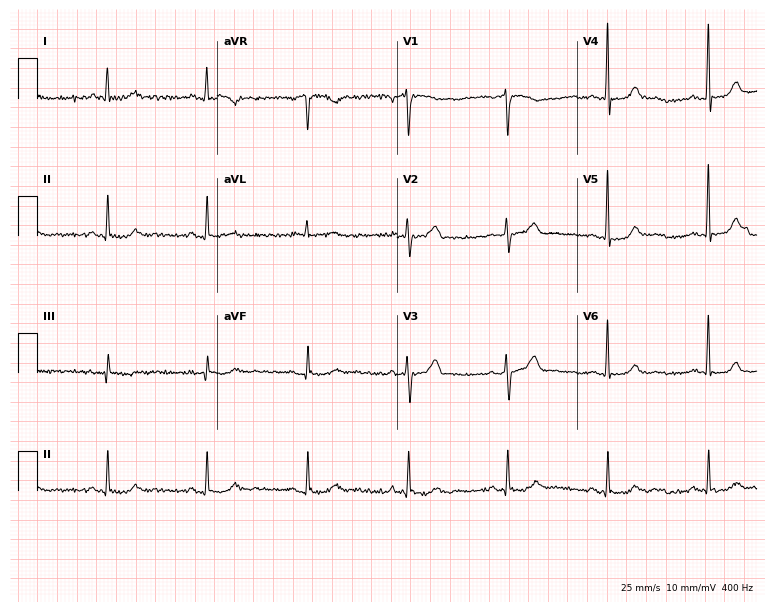
ECG (7.3-second recording at 400 Hz) — a 54-year-old male patient. Labelled as a normal ECG.